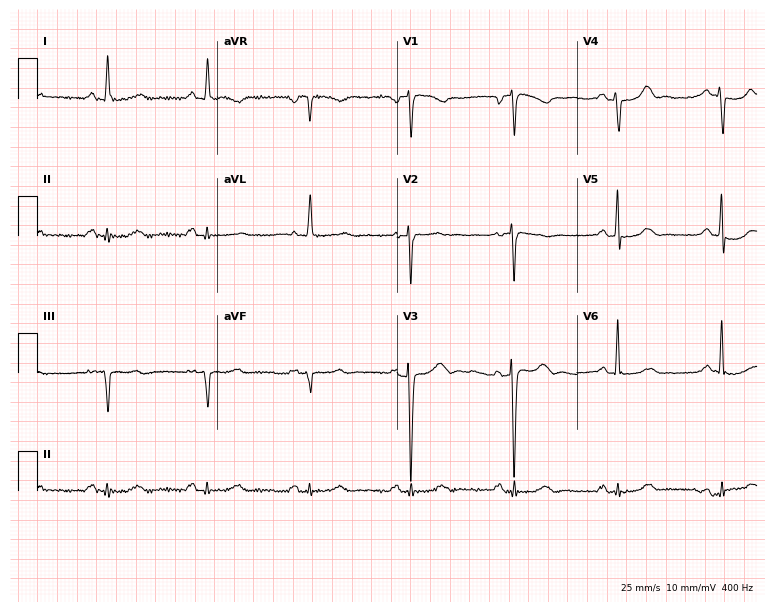
Resting 12-lead electrocardiogram. Patient: an 83-year-old male. Read as a normal ECG.